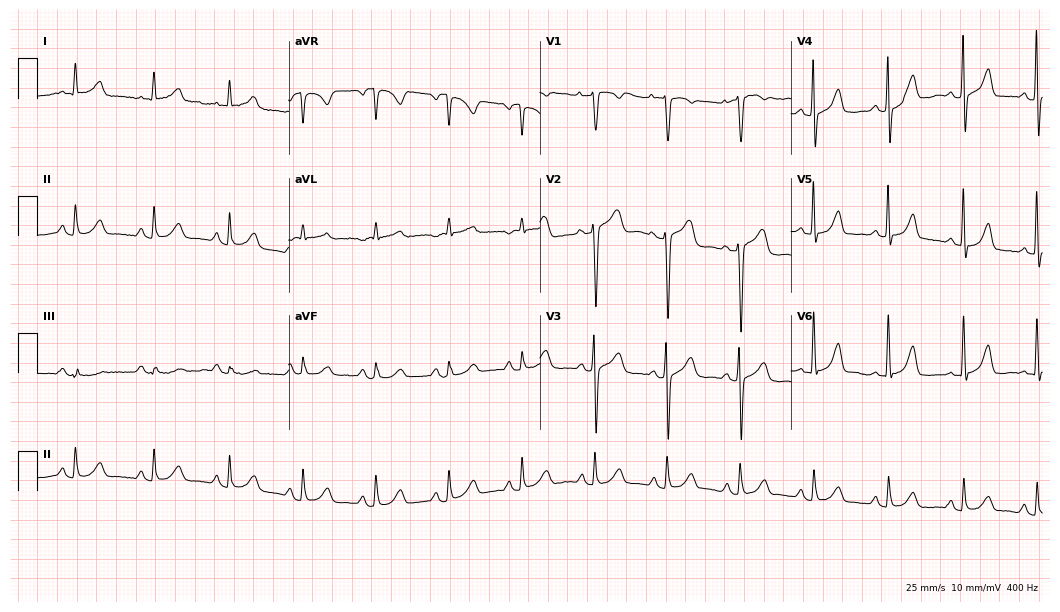
ECG — a woman, 67 years old. Screened for six findings — first-degree AV block, right bundle branch block, left bundle branch block, sinus bradycardia, atrial fibrillation, sinus tachycardia — none is recorded. Findings outside these six are not listed.